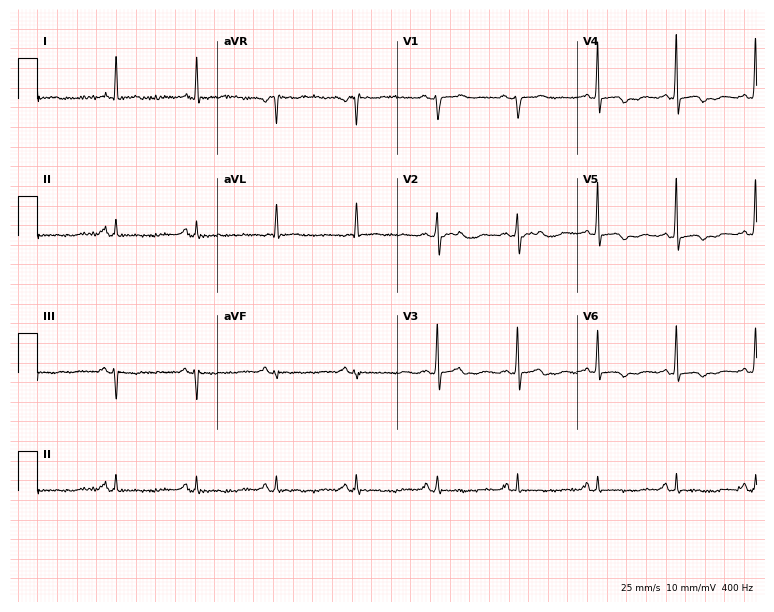
Electrocardiogram (7.3-second recording at 400 Hz), a female, 66 years old. Of the six screened findings (first-degree AV block, right bundle branch block, left bundle branch block, sinus bradycardia, atrial fibrillation, sinus tachycardia), none is recorded. Only these six findings were labelled.